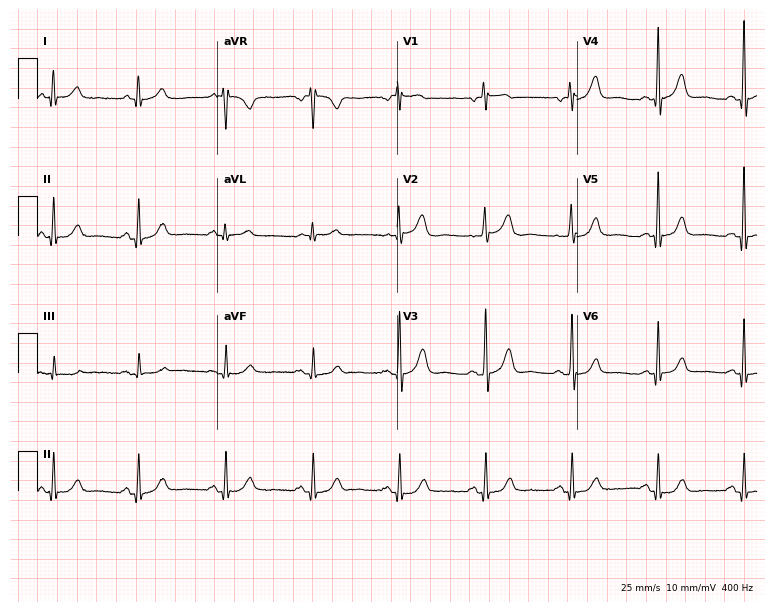
12-lead ECG from a 62-year-old female patient. Labelled as a normal ECG.